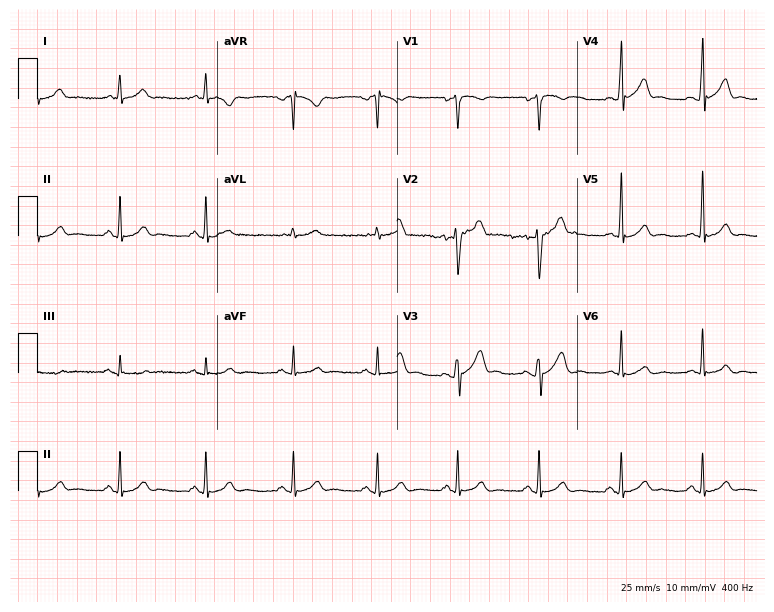
Resting 12-lead electrocardiogram (7.3-second recording at 400 Hz). Patient: a male, 42 years old. Read as a normal ECG.